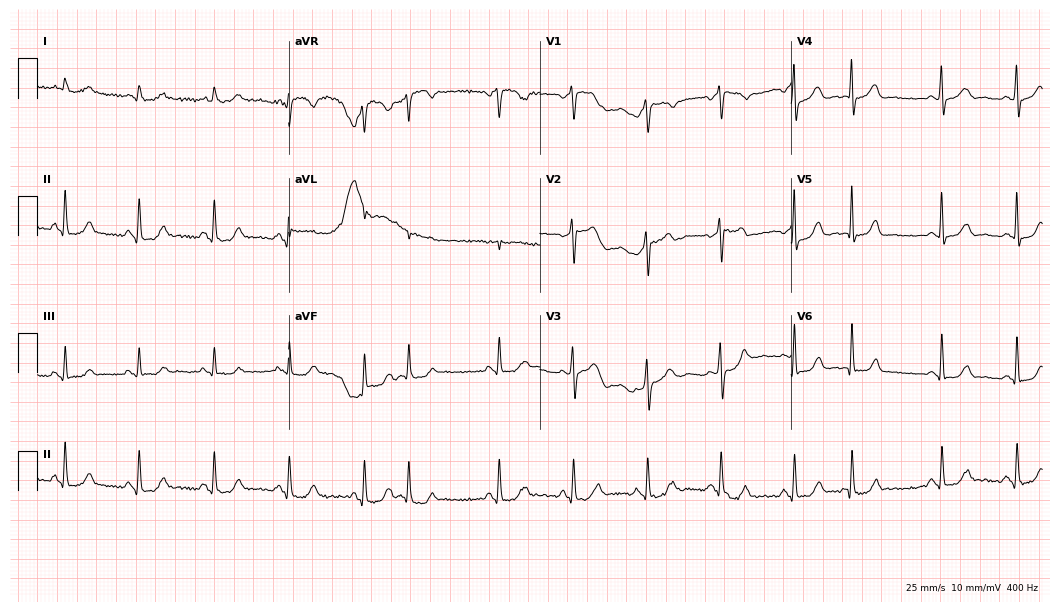
Electrocardiogram, a 68-year-old female patient. Overall reading on record: normal ECG.